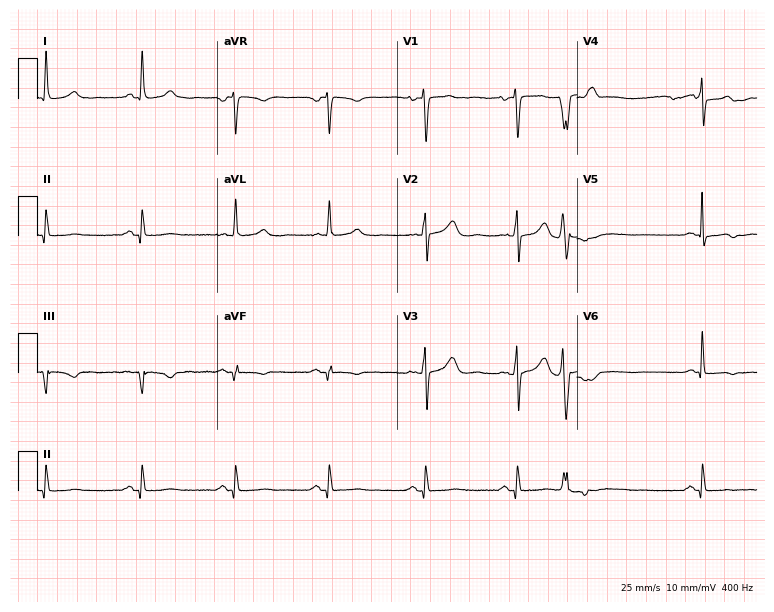
Standard 12-lead ECG recorded from a female, 75 years old (7.3-second recording at 400 Hz). None of these six findings is recorded: first-degree AV block, right bundle branch block, left bundle branch block, sinus bradycardia, atrial fibrillation, sinus tachycardia.